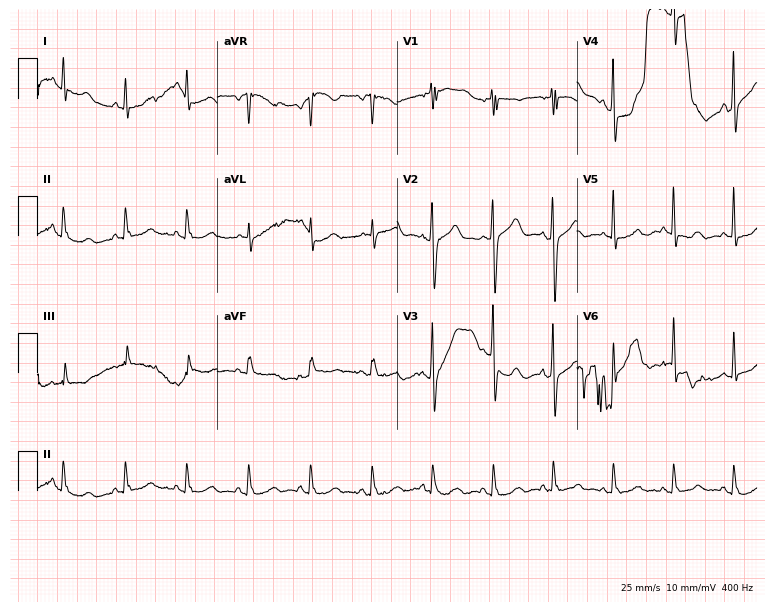
12-lead ECG from a 51-year-old male. Screened for six findings — first-degree AV block, right bundle branch block, left bundle branch block, sinus bradycardia, atrial fibrillation, sinus tachycardia — none is recorded.